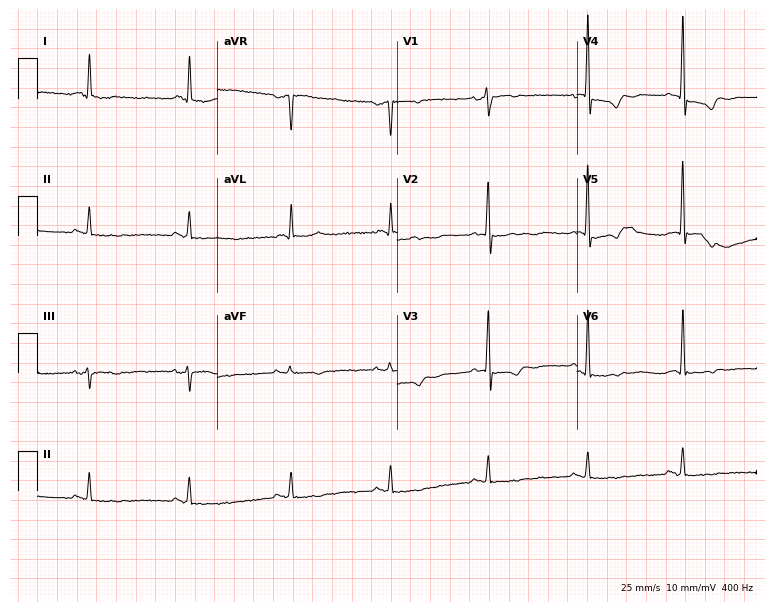
12-lead ECG from a man, 78 years old. Screened for six findings — first-degree AV block, right bundle branch block (RBBB), left bundle branch block (LBBB), sinus bradycardia, atrial fibrillation (AF), sinus tachycardia — none is recorded.